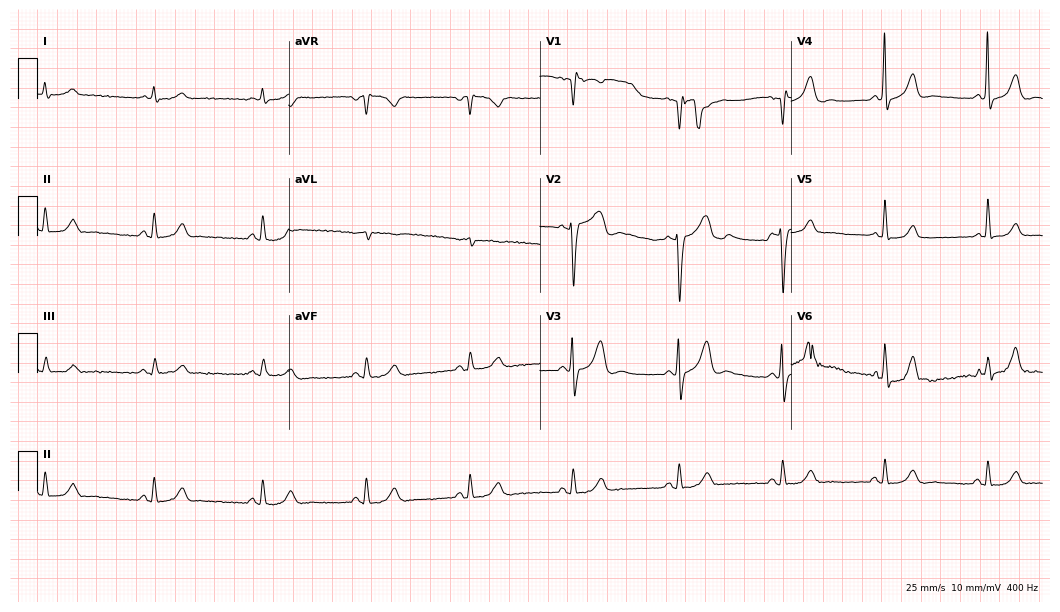
Resting 12-lead electrocardiogram. Patient: a man, 82 years old. Read as a normal ECG.